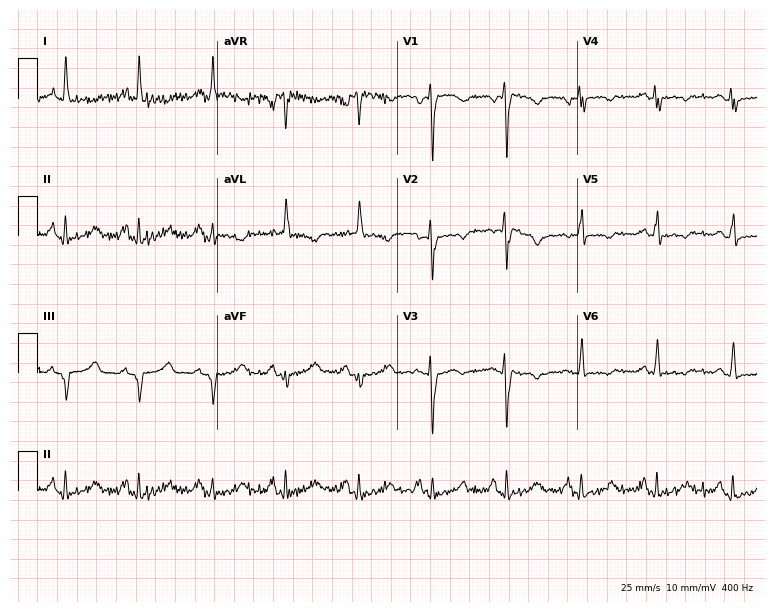
Electrocardiogram (7.3-second recording at 400 Hz), a female patient, 53 years old. Of the six screened findings (first-degree AV block, right bundle branch block (RBBB), left bundle branch block (LBBB), sinus bradycardia, atrial fibrillation (AF), sinus tachycardia), none is recorded.